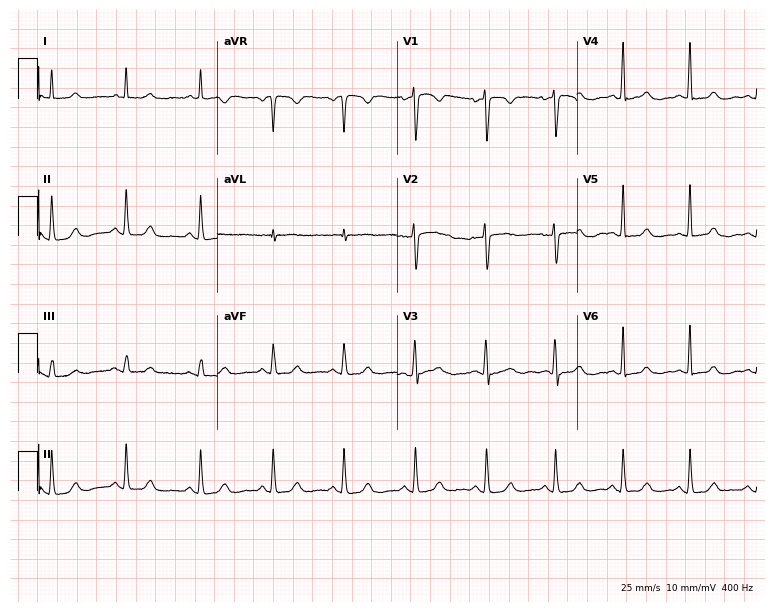
12-lead ECG from a 52-year-old woman. Screened for six findings — first-degree AV block, right bundle branch block (RBBB), left bundle branch block (LBBB), sinus bradycardia, atrial fibrillation (AF), sinus tachycardia — none is recorded.